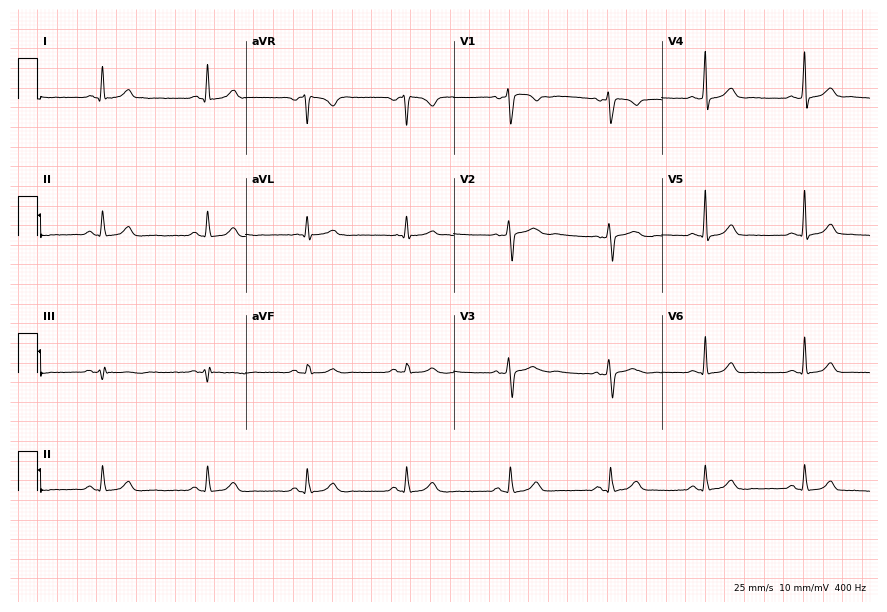
Resting 12-lead electrocardiogram. Patient: a 29-year-old female. Read as a normal ECG.